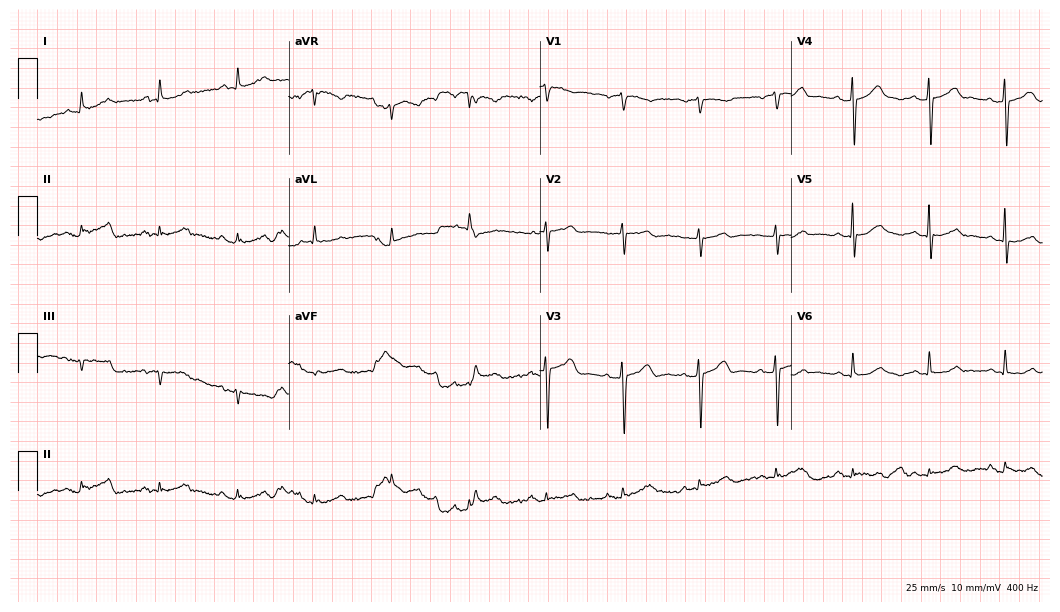
Standard 12-lead ECG recorded from a male, 82 years old. None of these six findings is recorded: first-degree AV block, right bundle branch block, left bundle branch block, sinus bradycardia, atrial fibrillation, sinus tachycardia.